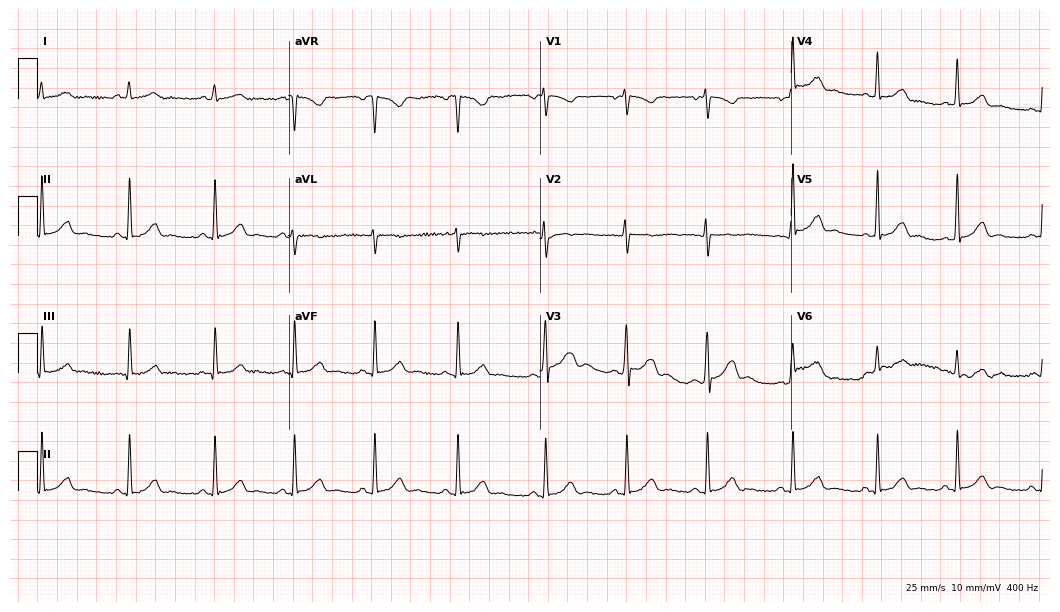
12-lead ECG from a 30-year-old woman. Recorded interpretation: within normal limits.